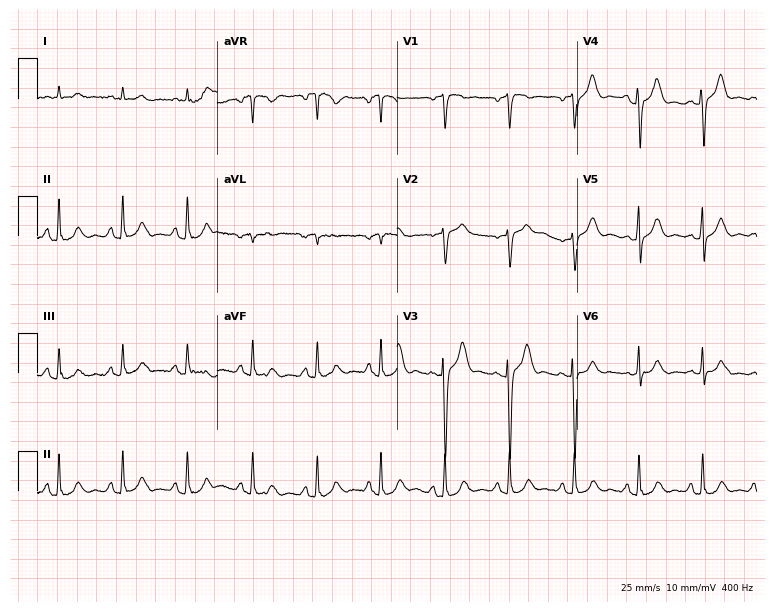
Standard 12-lead ECG recorded from a male patient, 75 years old. Read as a normal ECG.